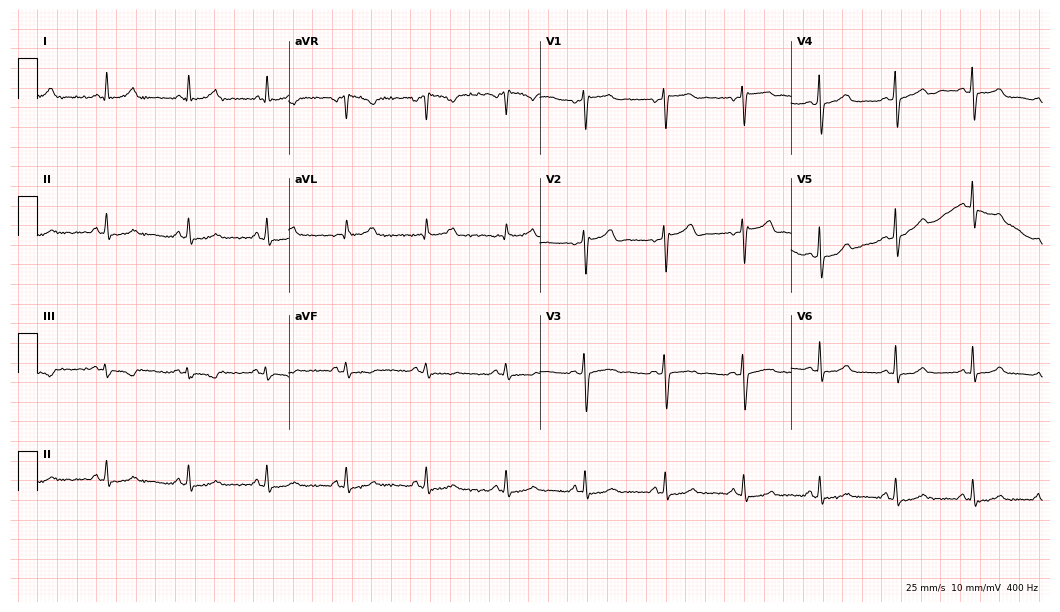
Electrocardiogram, a 40-year-old female patient. Of the six screened findings (first-degree AV block, right bundle branch block, left bundle branch block, sinus bradycardia, atrial fibrillation, sinus tachycardia), none is recorded.